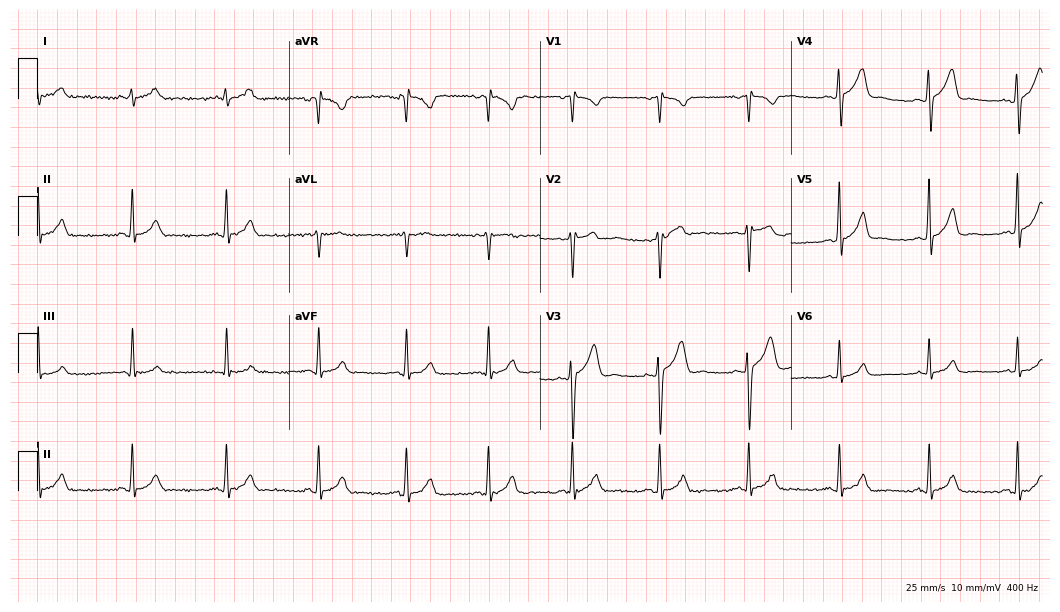
Resting 12-lead electrocardiogram. Patient: a 36-year-old male. Read as a normal ECG.